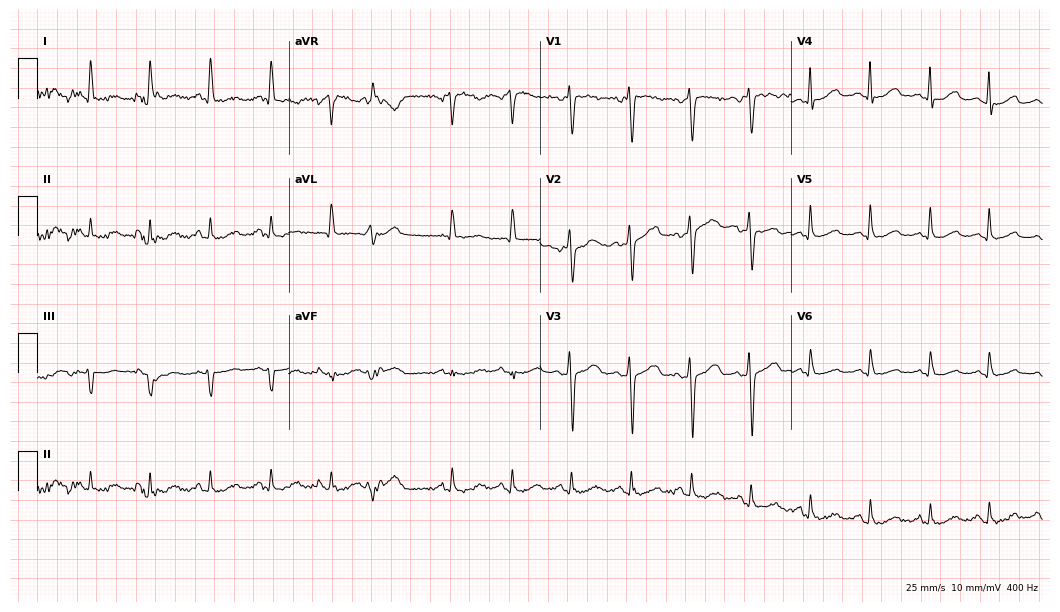
Electrocardiogram (10.2-second recording at 400 Hz), a female, 57 years old. Of the six screened findings (first-degree AV block, right bundle branch block, left bundle branch block, sinus bradycardia, atrial fibrillation, sinus tachycardia), none is recorded.